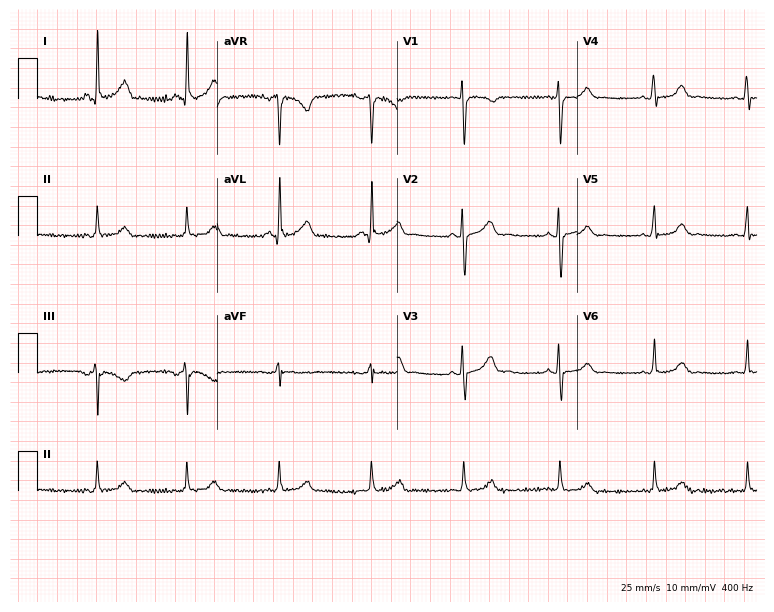
Standard 12-lead ECG recorded from a female patient, 52 years old. Read as a normal ECG.